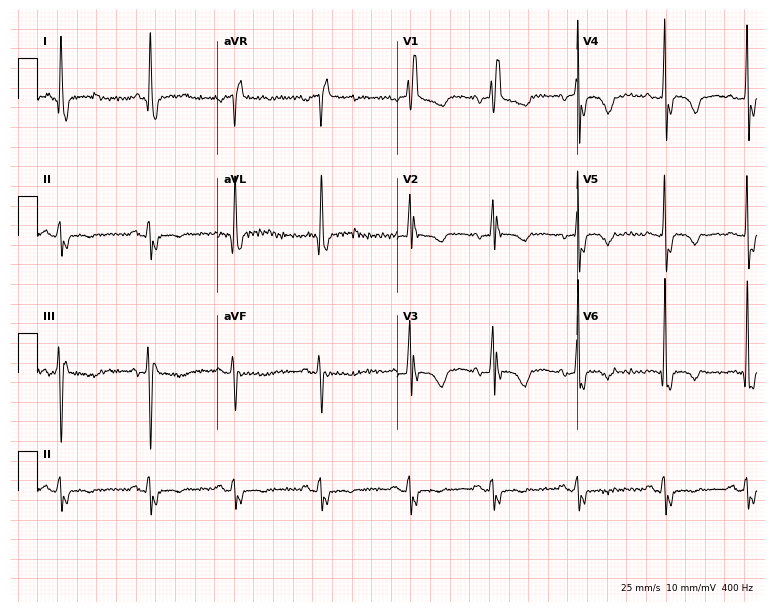
12-lead ECG from a female patient, 74 years old (7.3-second recording at 400 Hz). Shows right bundle branch block.